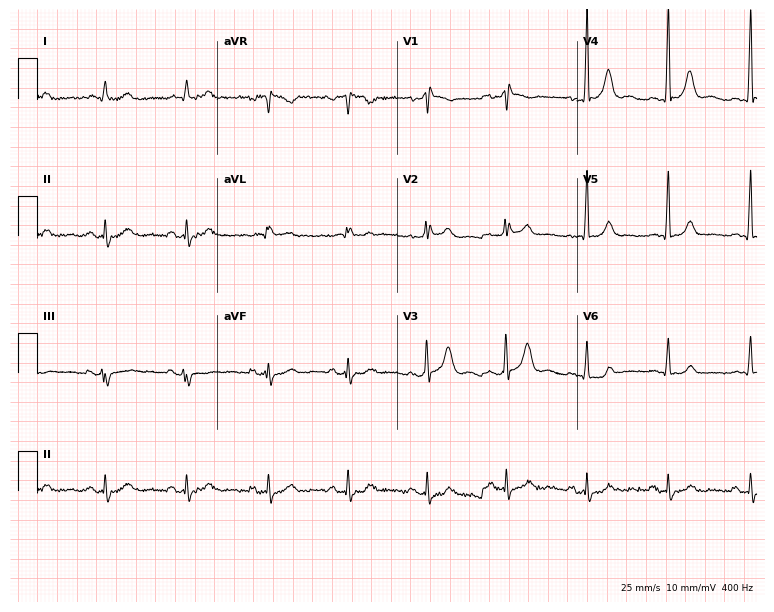
12-lead ECG from a male patient, 51 years old. Screened for six findings — first-degree AV block, right bundle branch block (RBBB), left bundle branch block (LBBB), sinus bradycardia, atrial fibrillation (AF), sinus tachycardia — none is recorded.